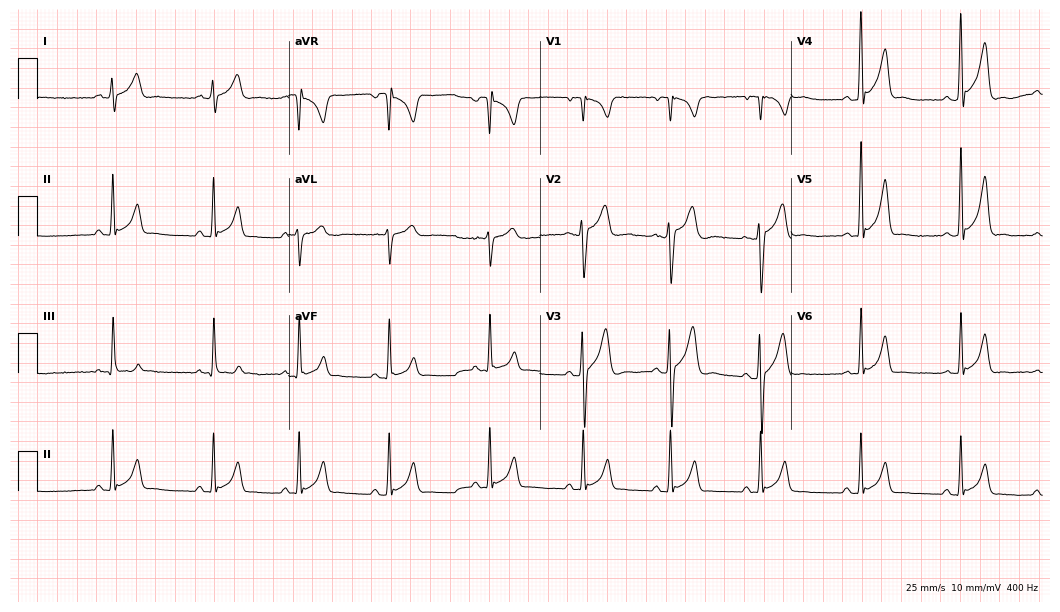
12-lead ECG from a 17-year-old male patient. Screened for six findings — first-degree AV block, right bundle branch block, left bundle branch block, sinus bradycardia, atrial fibrillation, sinus tachycardia — none is recorded.